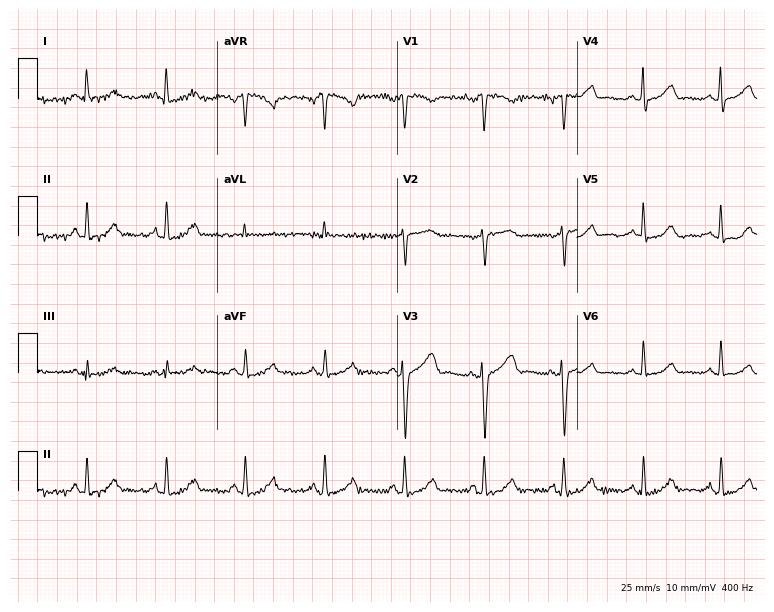
Resting 12-lead electrocardiogram. Patient: a 67-year-old female. Read as a normal ECG.